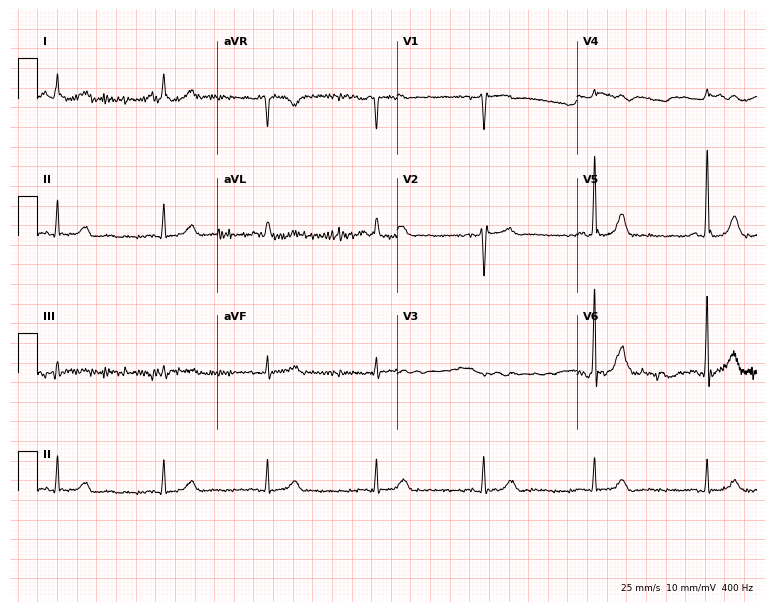
12-lead ECG from a male patient, 74 years old (7.3-second recording at 400 Hz). No first-degree AV block, right bundle branch block (RBBB), left bundle branch block (LBBB), sinus bradycardia, atrial fibrillation (AF) or sinus tachycardia recorded for this tracing.